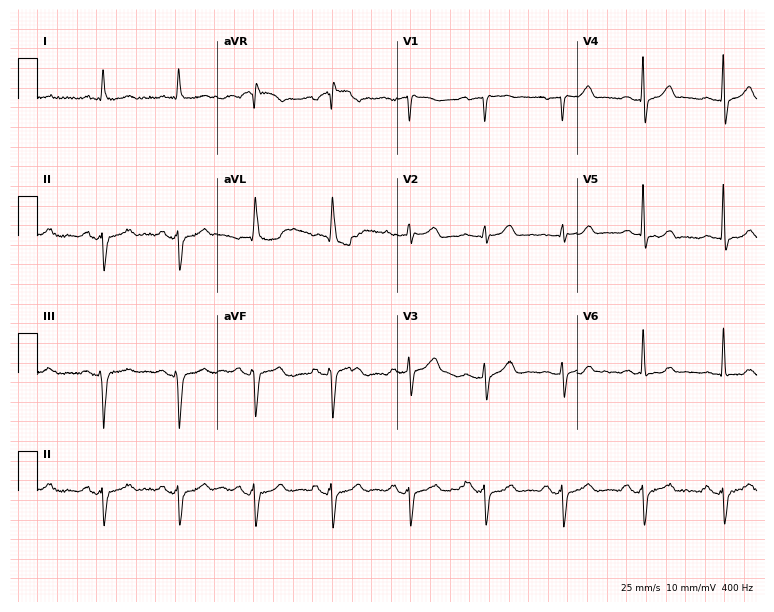
12-lead ECG from a 70-year-old man. Labelled as a normal ECG.